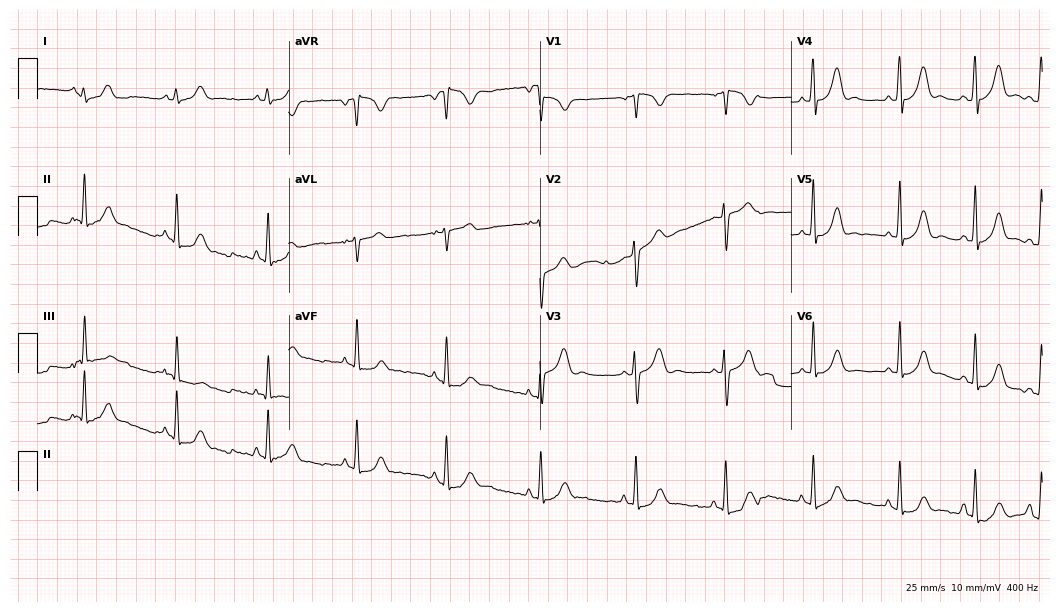
Electrocardiogram (10.2-second recording at 400 Hz), a woman, 25 years old. Overall reading on record: normal ECG.